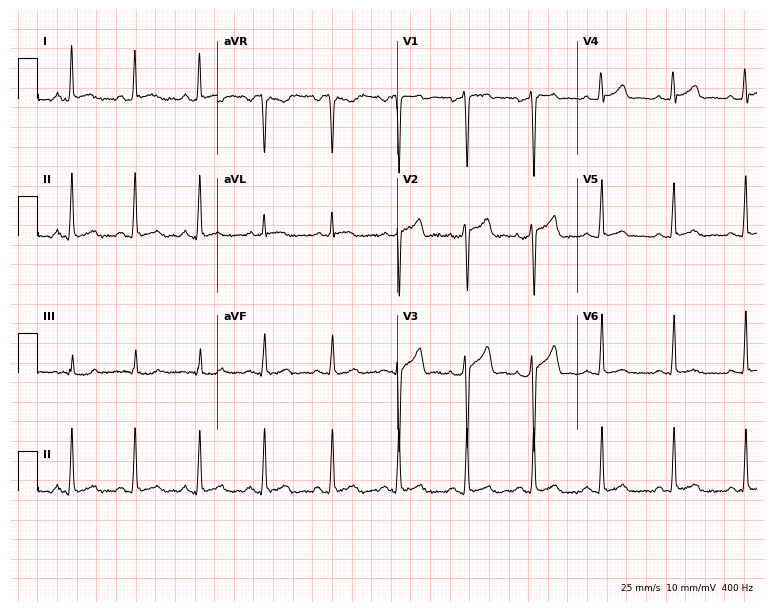
Electrocardiogram (7.3-second recording at 400 Hz), a 37-year-old male. Overall reading on record: normal ECG.